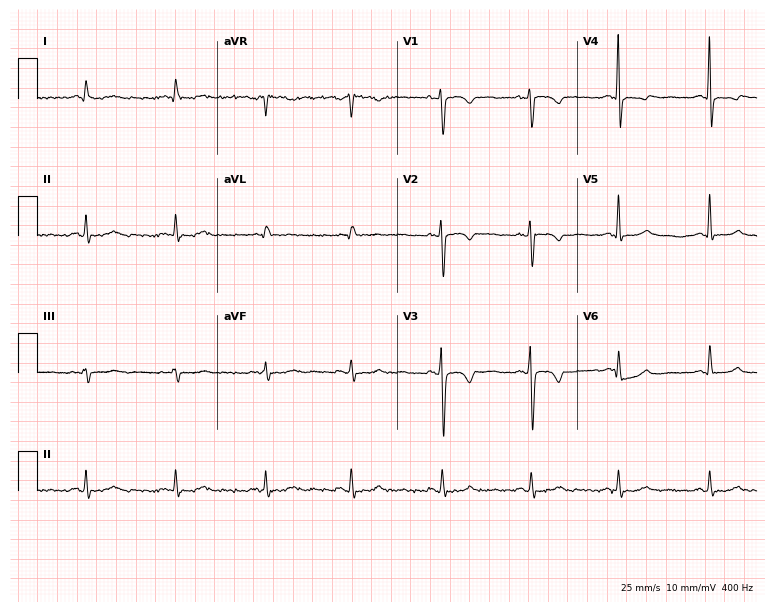
Electrocardiogram (7.3-second recording at 400 Hz), a 44-year-old female. Of the six screened findings (first-degree AV block, right bundle branch block, left bundle branch block, sinus bradycardia, atrial fibrillation, sinus tachycardia), none is recorded. Other findings, if any, are not listed.